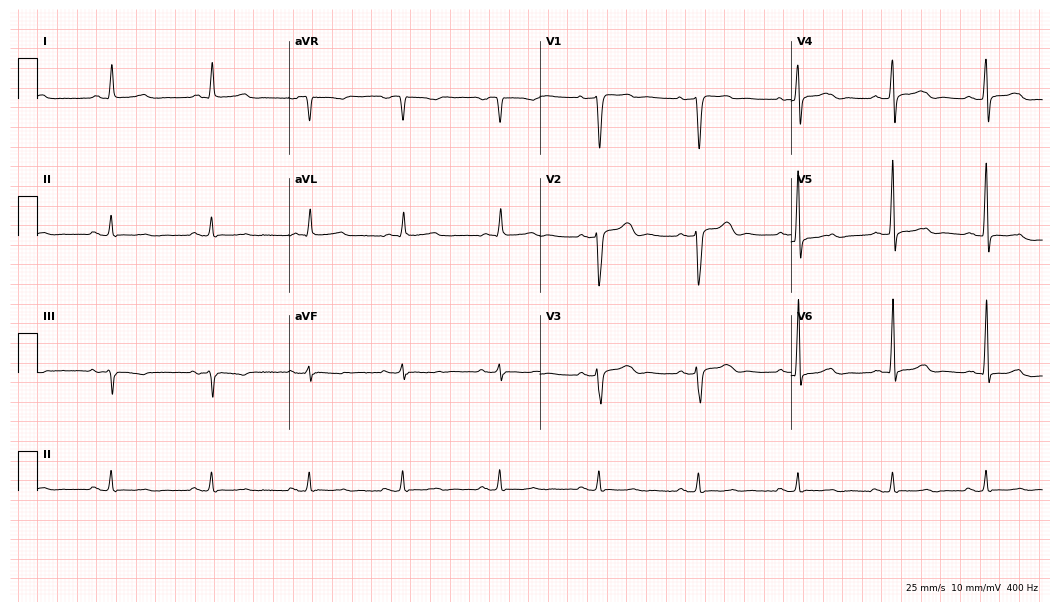
12-lead ECG (10.2-second recording at 400 Hz) from a male patient, 78 years old. Screened for six findings — first-degree AV block, right bundle branch block, left bundle branch block, sinus bradycardia, atrial fibrillation, sinus tachycardia — none is recorded.